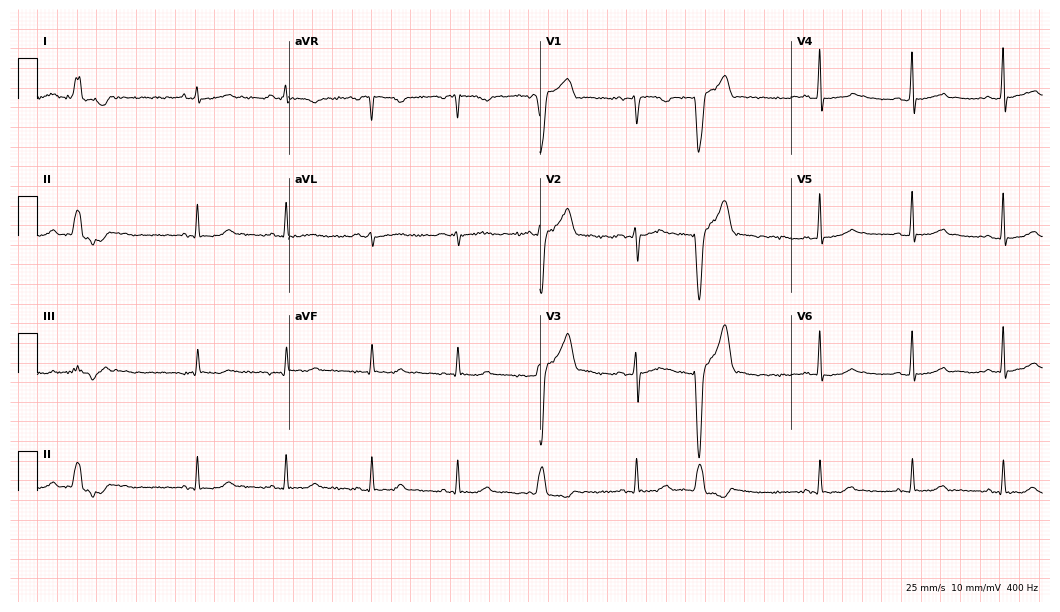
12-lead ECG from a female, 43 years old (10.2-second recording at 400 Hz). No first-degree AV block, right bundle branch block, left bundle branch block, sinus bradycardia, atrial fibrillation or sinus tachycardia recorded for this tracing. Only these six findings were labelled.